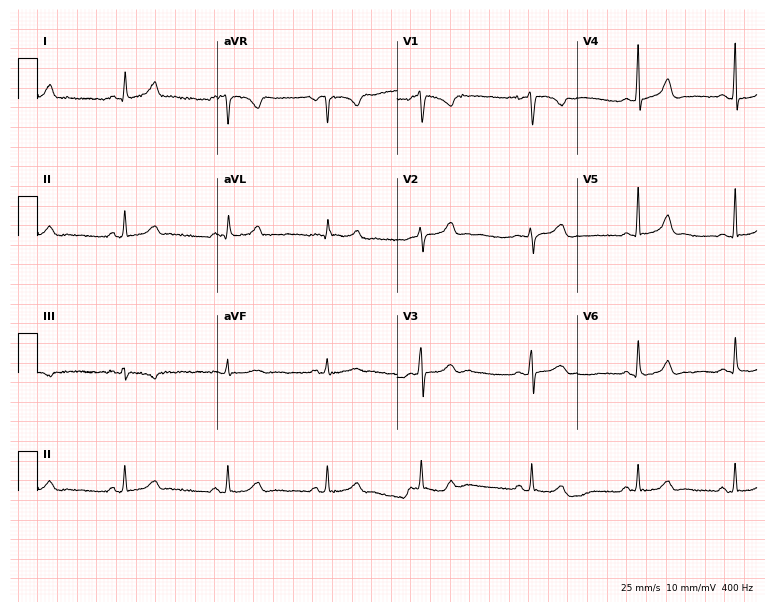
12-lead ECG from a female patient, 26 years old (7.3-second recording at 400 Hz). Recorded interpretation: within normal limits.